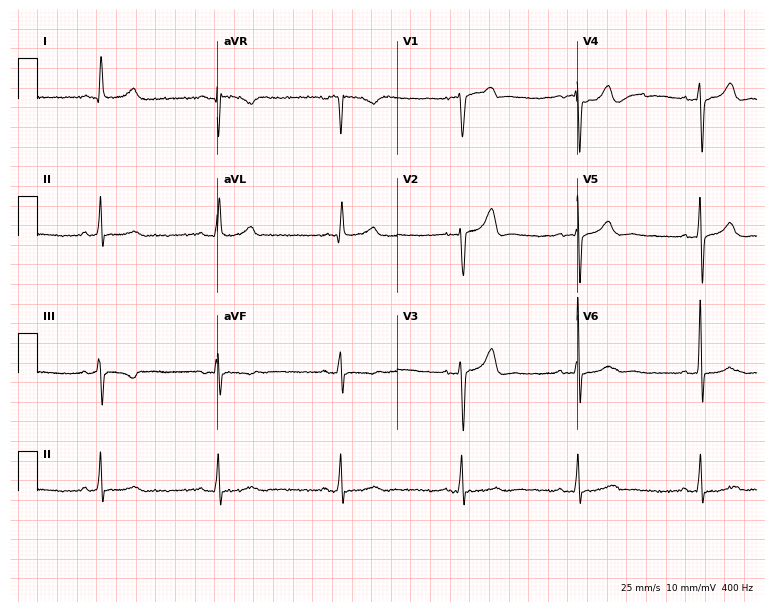
ECG — a 75-year-old male. Screened for six findings — first-degree AV block, right bundle branch block (RBBB), left bundle branch block (LBBB), sinus bradycardia, atrial fibrillation (AF), sinus tachycardia — none is recorded. Other findings, if any, are not listed.